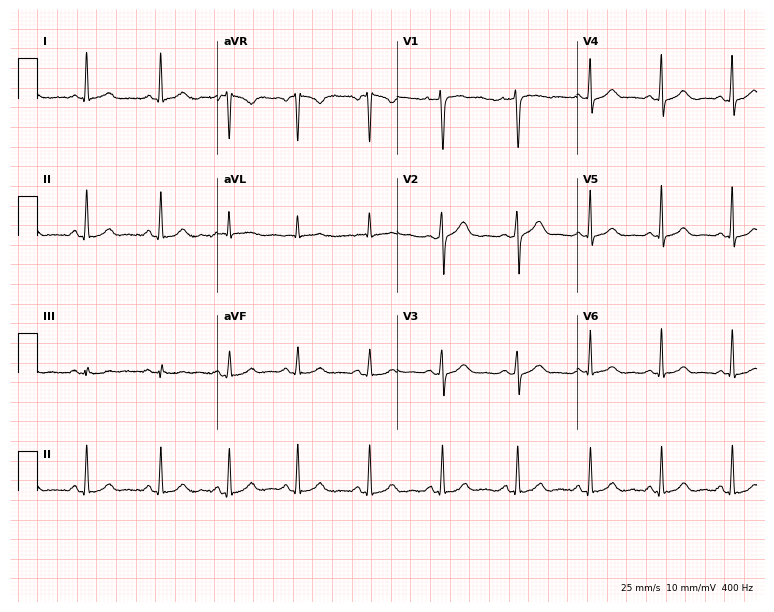
12-lead ECG (7.3-second recording at 400 Hz) from a 45-year-old woman. Labelled as a normal ECG.